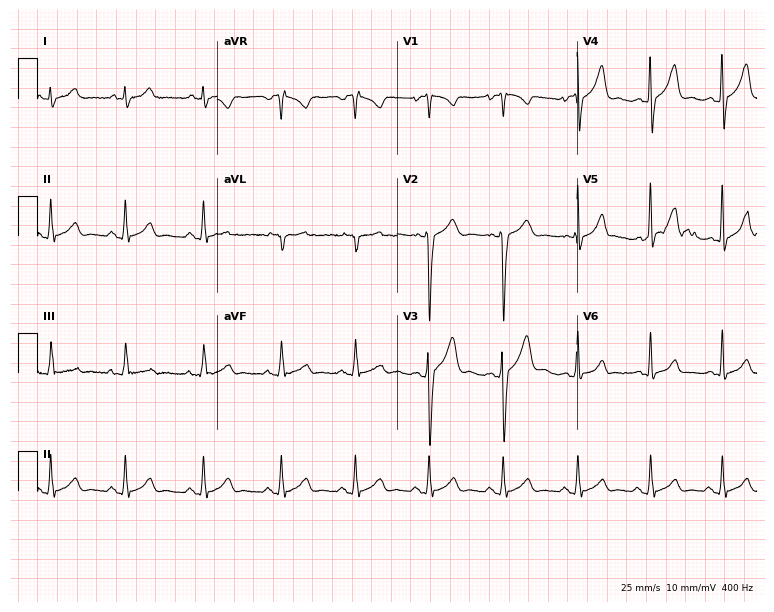
Standard 12-lead ECG recorded from a male patient, 18 years old. Read as a normal ECG.